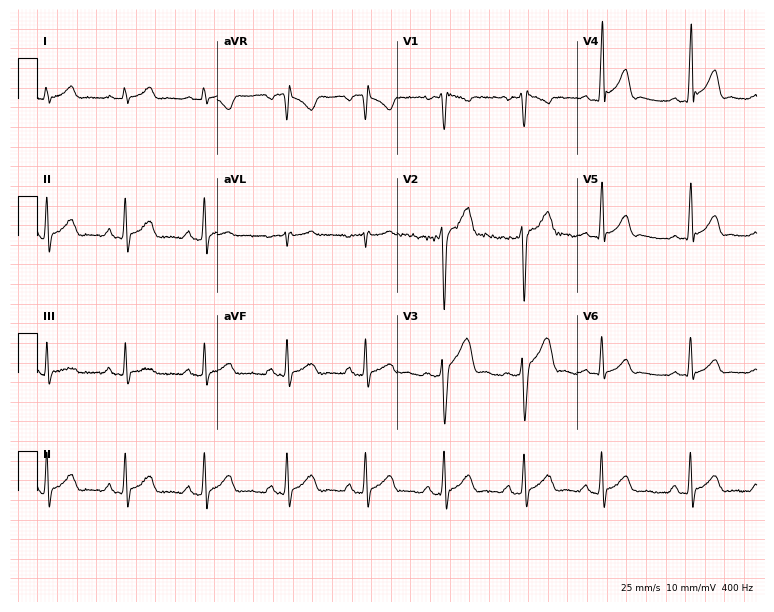
Resting 12-lead electrocardiogram. Patient: a 30-year-old male. Read as a normal ECG.